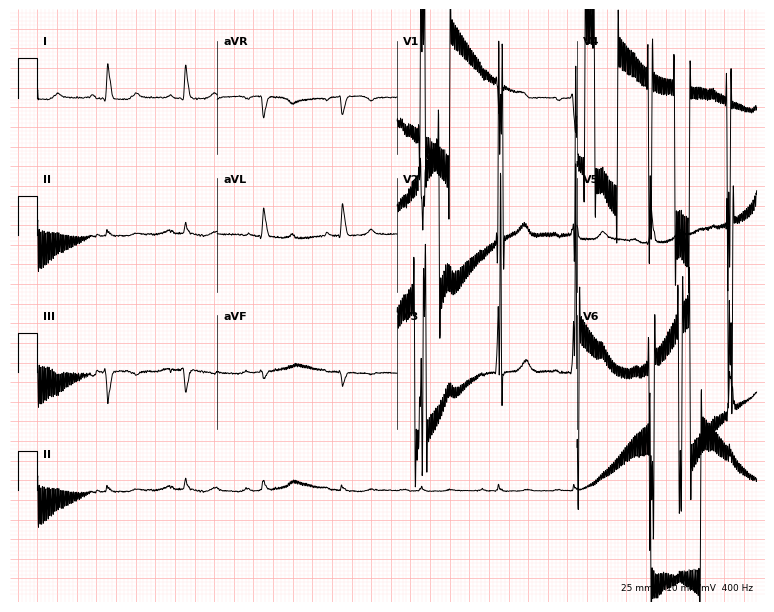
Resting 12-lead electrocardiogram. Patient: a female, 76 years old. None of these six findings is recorded: first-degree AV block, right bundle branch block, left bundle branch block, sinus bradycardia, atrial fibrillation, sinus tachycardia.